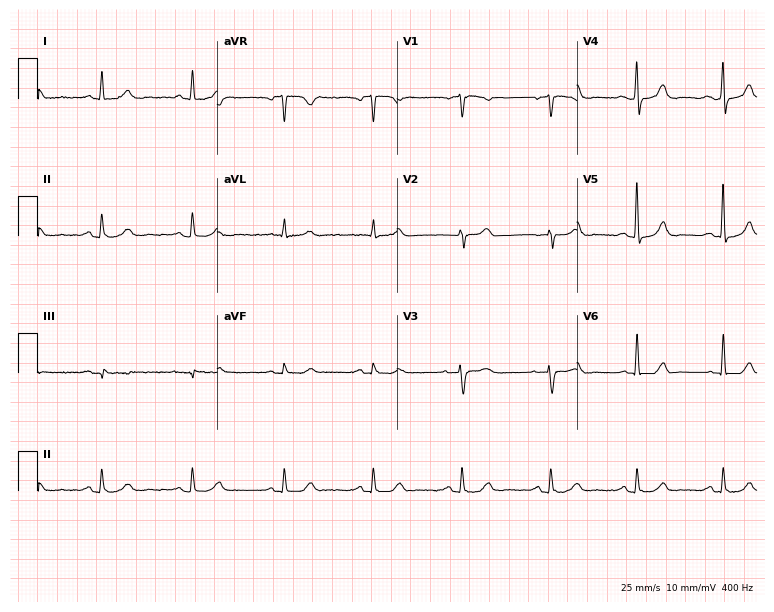
ECG (7.3-second recording at 400 Hz) — a 58-year-old woman. Labelled as a normal ECG.